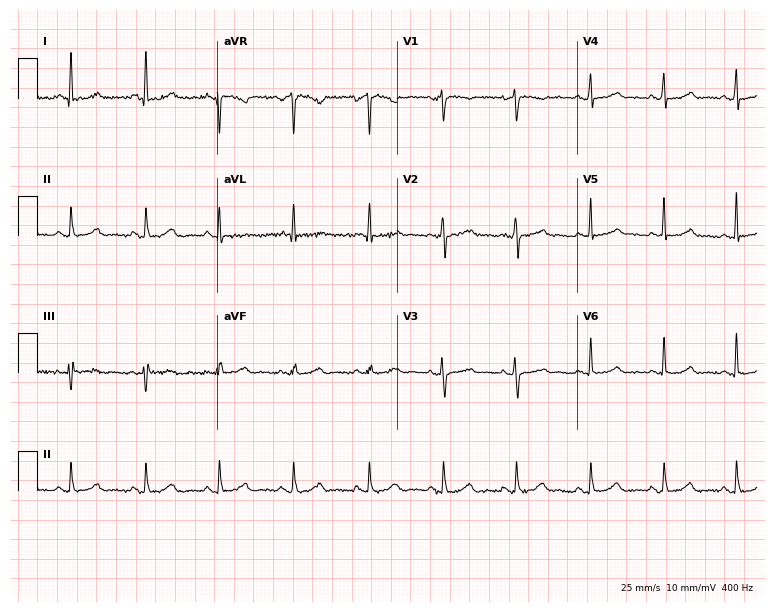
ECG — a 57-year-old woman. Labelled as a normal ECG.